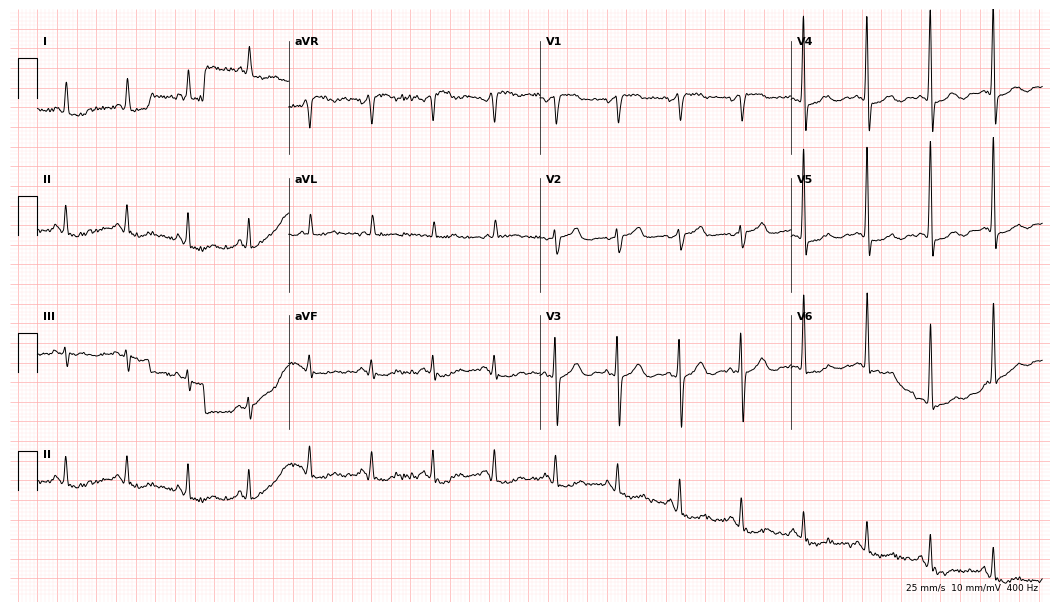
ECG (10.2-second recording at 400 Hz) — a woman, 80 years old. Screened for six findings — first-degree AV block, right bundle branch block, left bundle branch block, sinus bradycardia, atrial fibrillation, sinus tachycardia — none is recorded. Other findings, if any, are not listed.